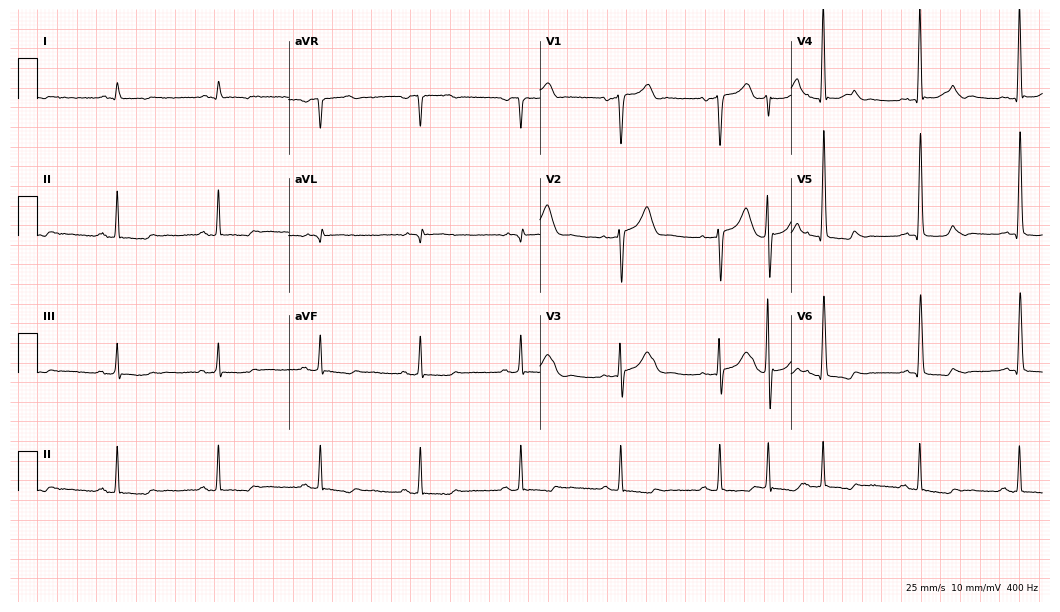
12-lead ECG from an 80-year-old male. Labelled as a normal ECG.